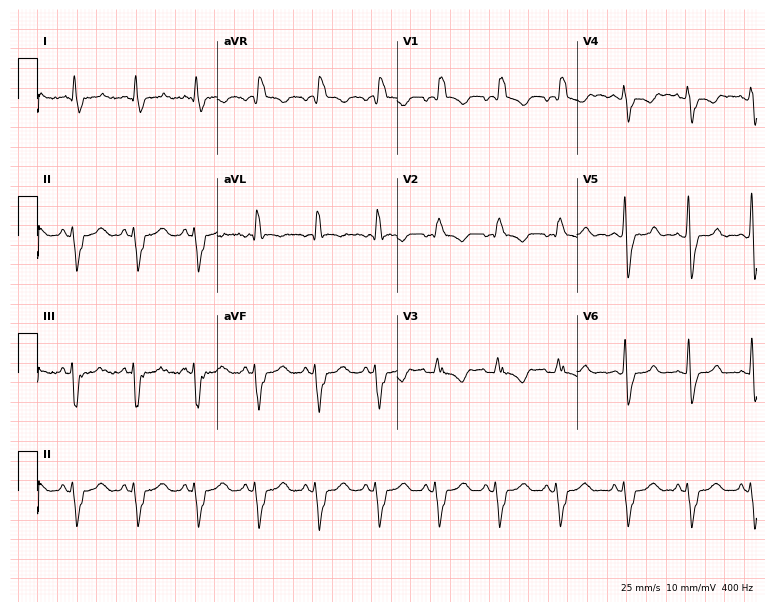
Resting 12-lead electrocardiogram. Patient: a 71-year-old female. The tracing shows right bundle branch block (RBBB).